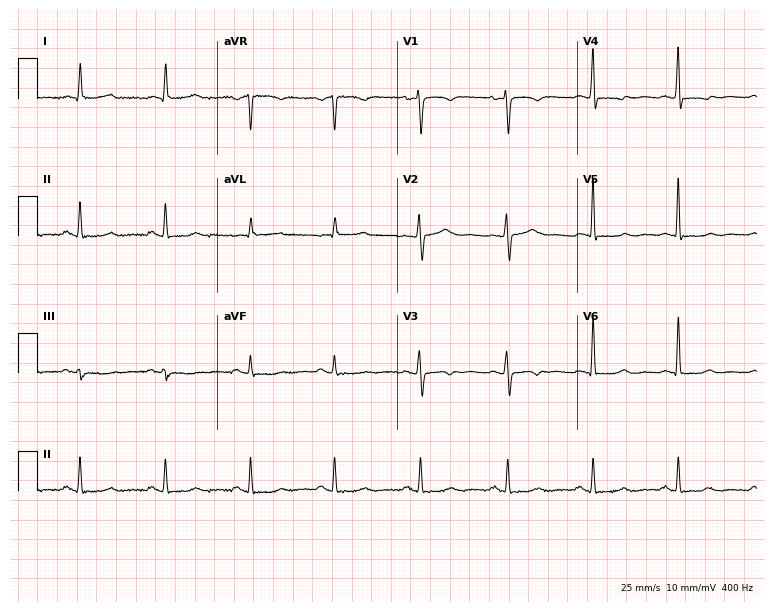
Resting 12-lead electrocardiogram. Patient: a 48-year-old woman. None of these six findings is recorded: first-degree AV block, right bundle branch block (RBBB), left bundle branch block (LBBB), sinus bradycardia, atrial fibrillation (AF), sinus tachycardia. Findings outside these six are not listed.